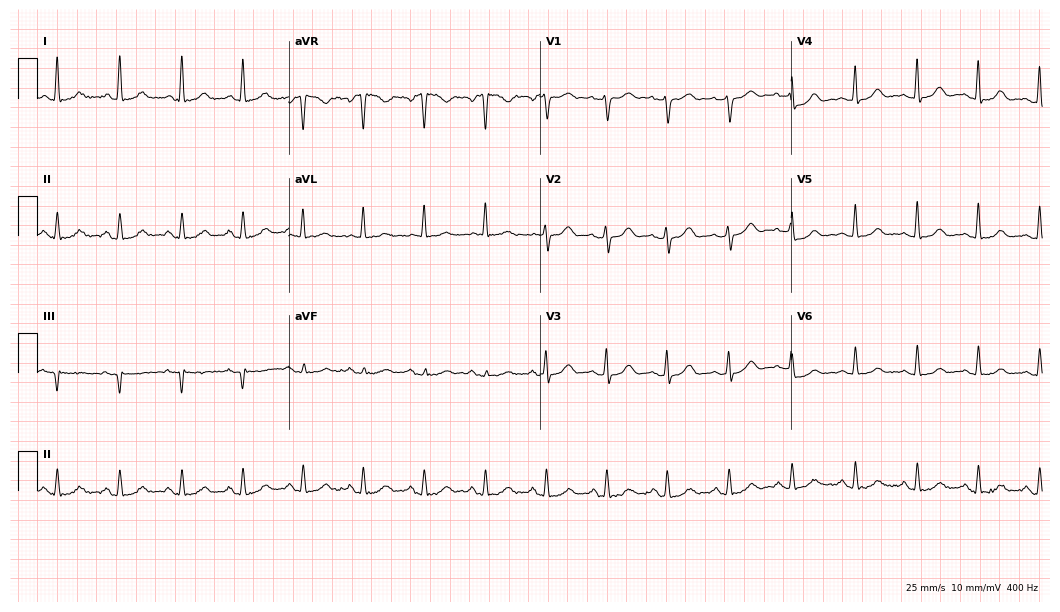
ECG (10.2-second recording at 400 Hz) — a female, 63 years old. Labelled as a normal ECG.